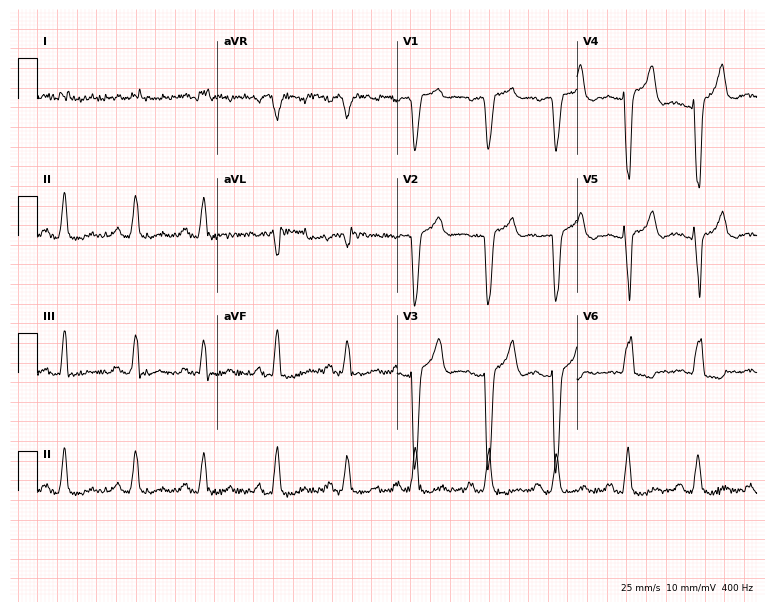
Standard 12-lead ECG recorded from a 79-year-old female patient. The tracing shows left bundle branch block (LBBB).